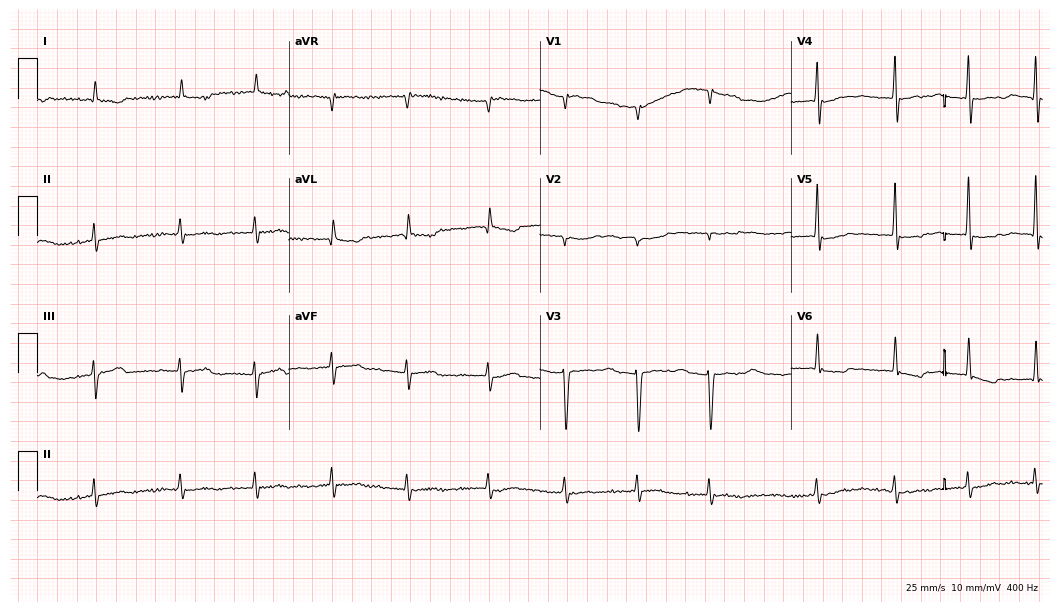
Standard 12-lead ECG recorded from an 85-year-old female patient (10.2-second recording at 400 Hz). The tracing shows atrial fibrillation.